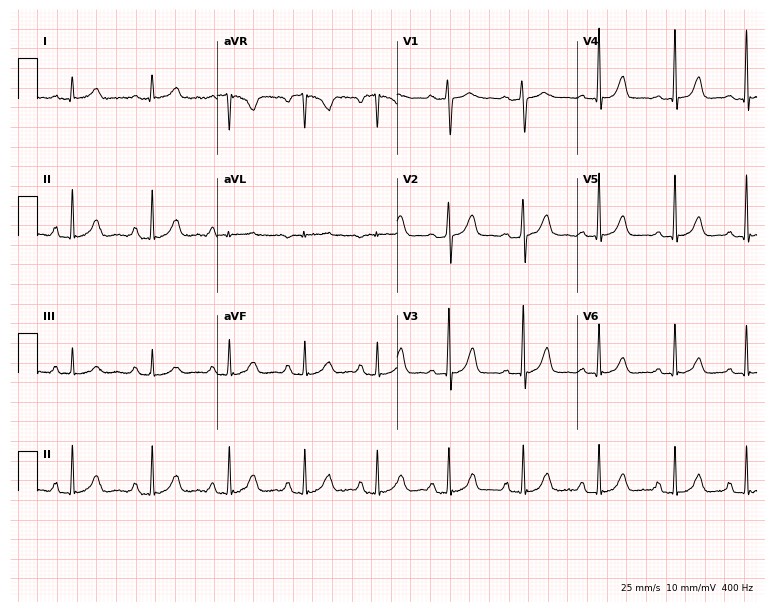
ECG — a 49-year-old female patient. Labelled as a normal ECG.